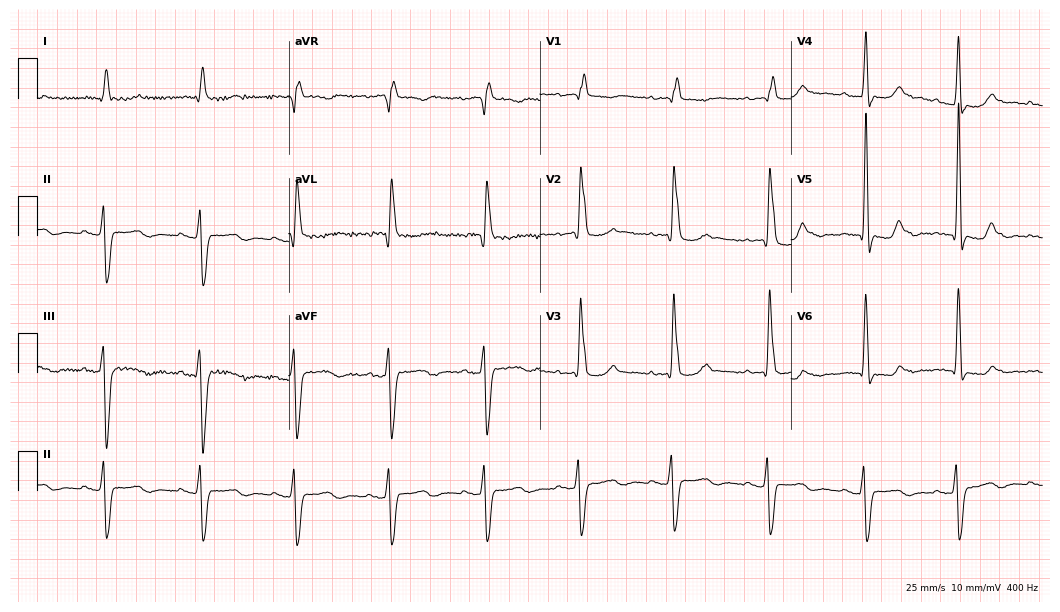
Resting 12-lead electrocardiogram. Patient: an 80-year-old female. None of these six findings is recorded: first-degree AV block, right bundle branch block, left bundle branch block, sinus bradycardia, atrial fibrillation, sinus tachycardia.